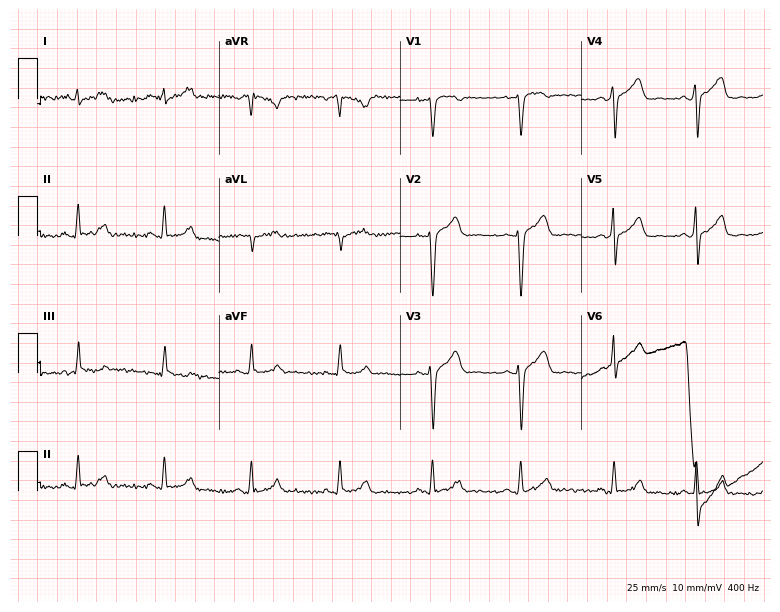
Electrocardiogram (7.4-second recording at 400 Hz), a male, 25 years old. Overall reading on record: normal ECG.